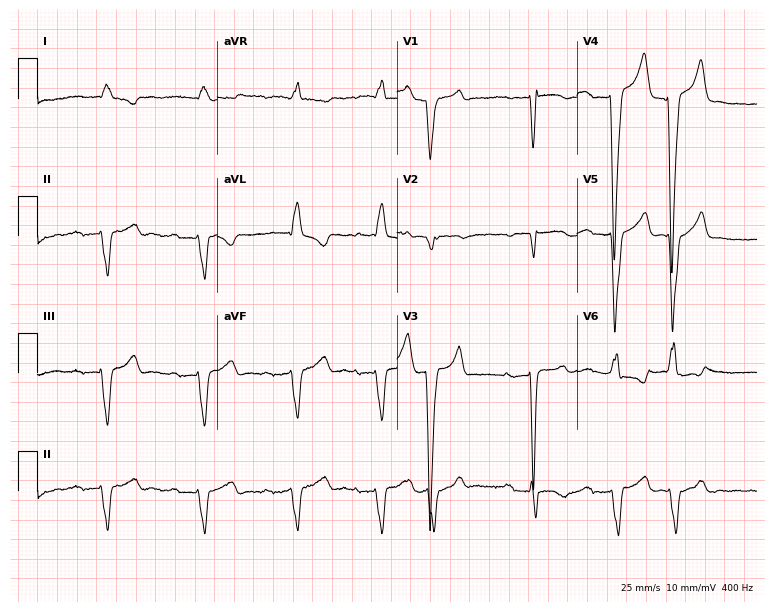
Standard 12-lead ECG recorded from a woman, 71 years old (7.3-second recording at 400 Hz). The tracing shows first-degree AV block, atrial fibrillation (AF).